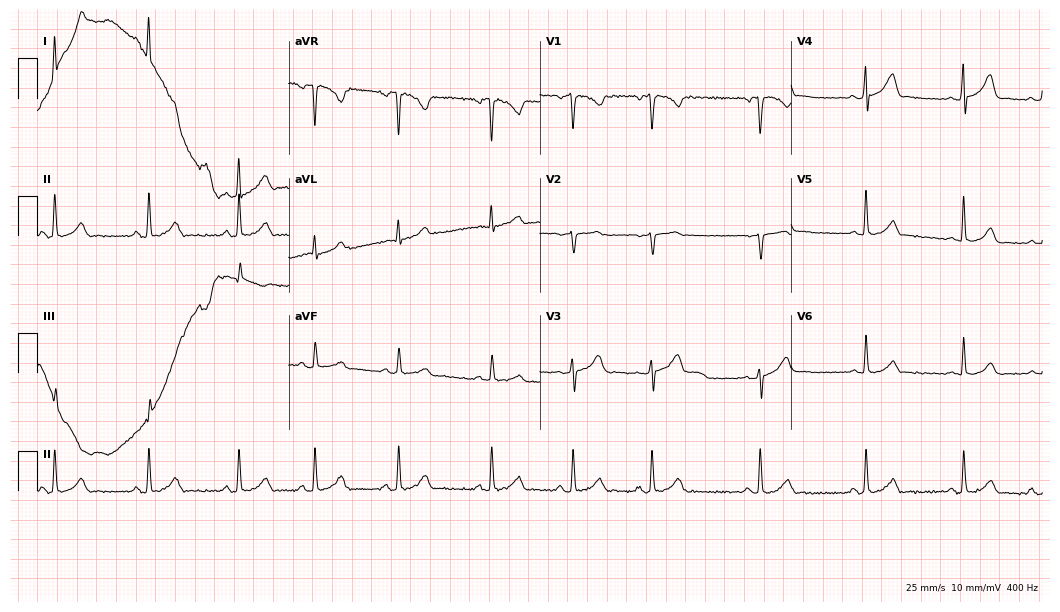
12-lead ECG from a female patient, 31 years old. Labelled as a normal ECG.